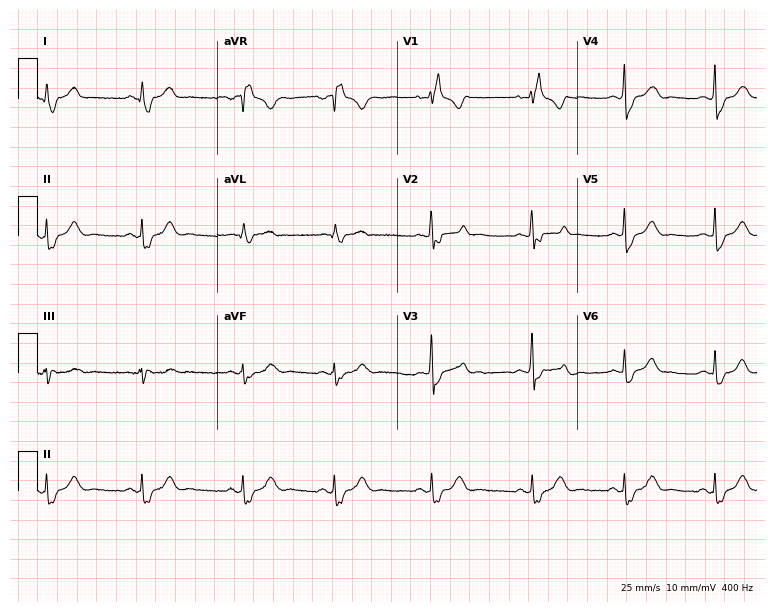
Electrocardiogram, a woman, 41 years old. Interpretation includes right bundle branch block (RBBB).